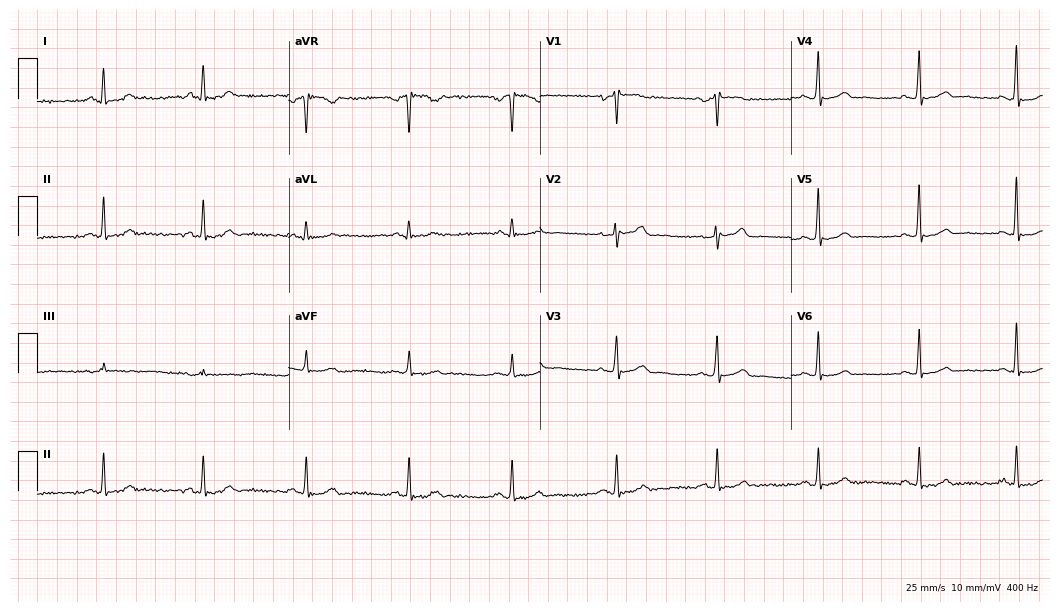
12-lead ECG from a woman, 48 years old. No first-degree AV block, right bundle branch block (RBBB), left bundle branch block (LBBB), sinus bradycardia, atrial fibrillation (AF) or sinus tachycardia recorded for this tracing.